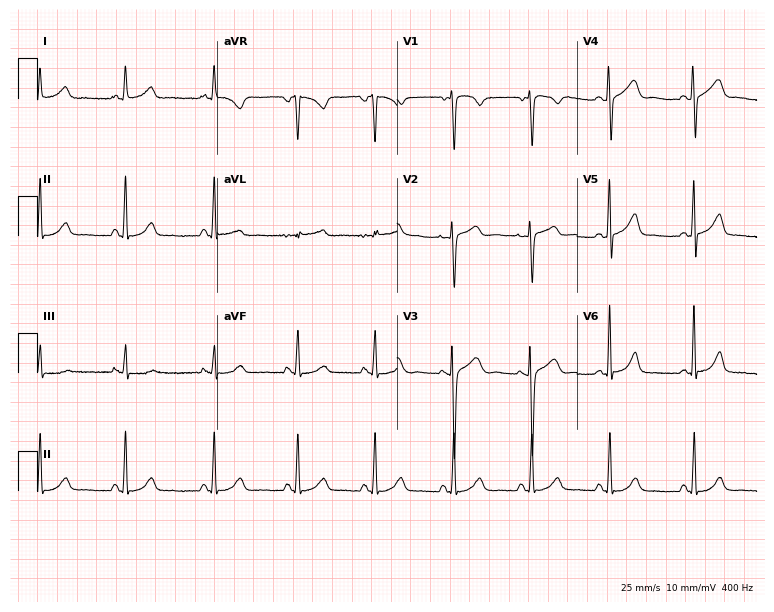
Electrocardiogram, a 38-year-old female. Of the six screened findings (first-degree AV block, right bundle branch block, left bundle branch block, sinus bradycardia, atrial fibrillation, sinus tachycardia), none is recorded.